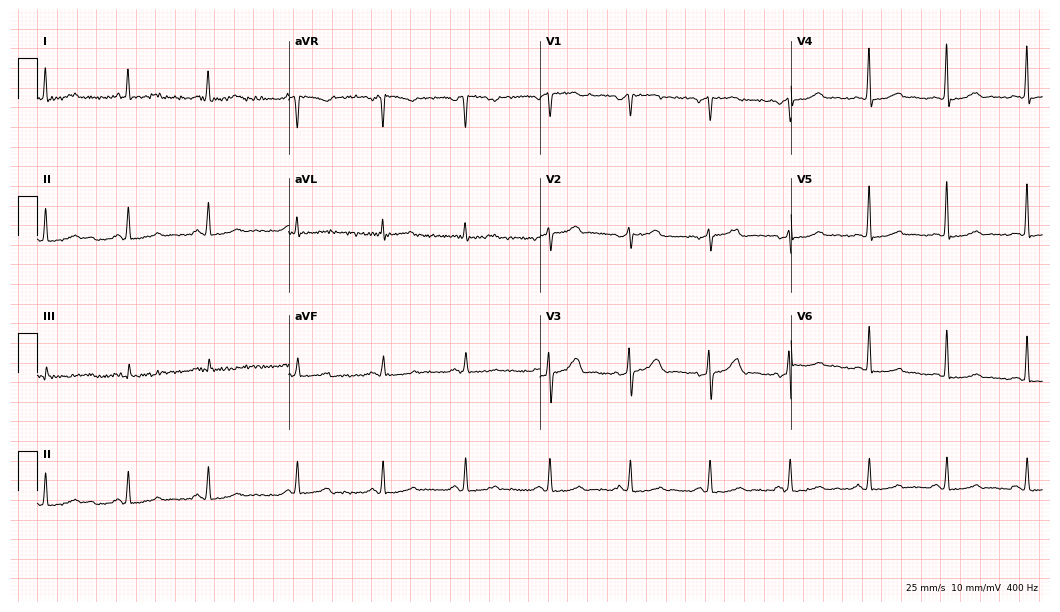
Standard 12-lead ECG recorded from a 63-year-old female patient (10.2-second recording at 400 Hz). None of these six findings is recorded: first-degree AV block, right bundle branch block, left bundle branch block, sinus bradycardia, atrial fibrillation, sinus tachycardia. Only these six findings were labelled.